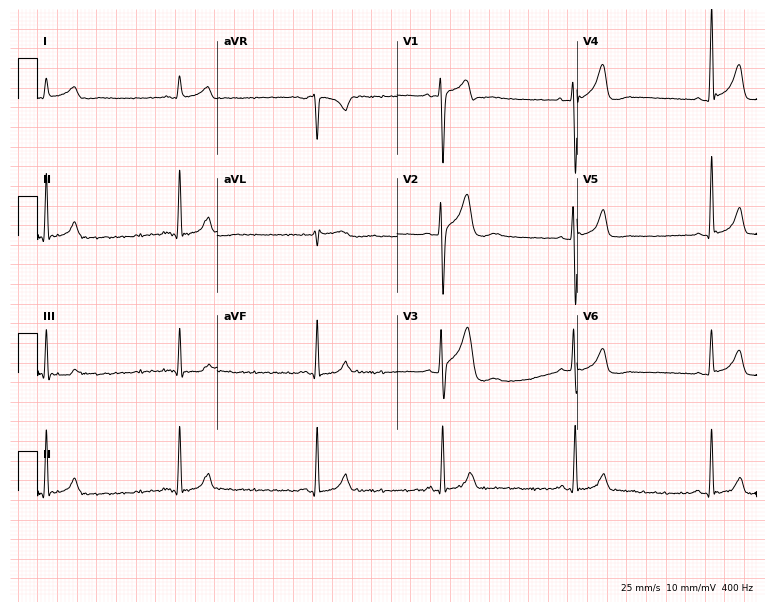
Electrocardiogram (7.3-second recording at 400 Hz), a male, 35 years old. Interpretation includes sinus bradycardia (a sinus rate of 50 beats per minute or less).